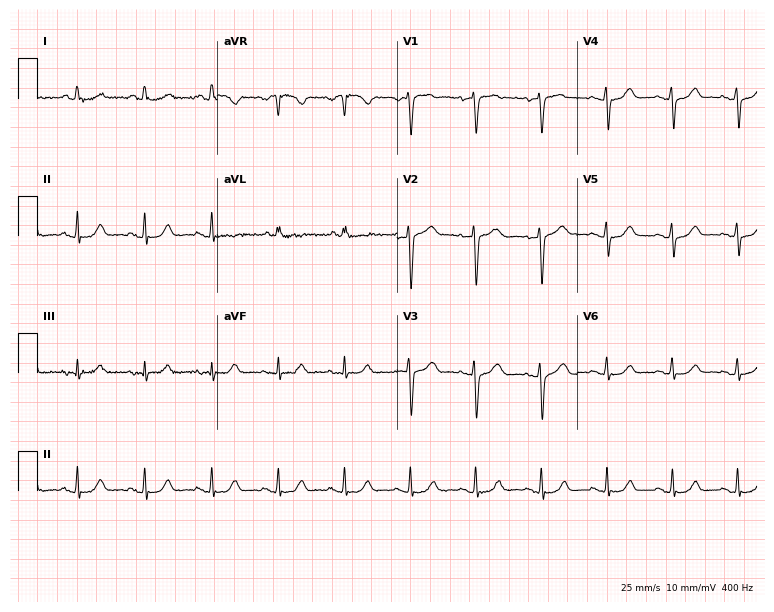
ECG (7.3-second recording at 400 Hz) — a 55-year-old female patient. Labelled as a normal ECG.